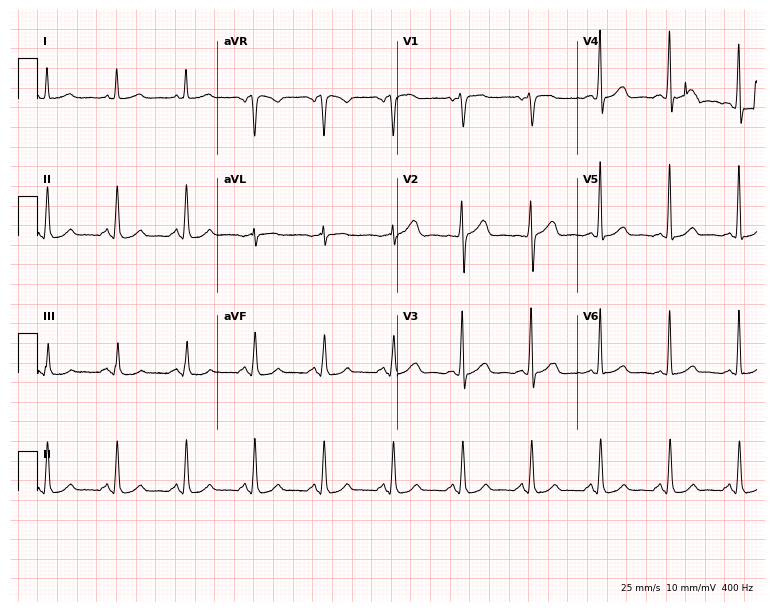
Electrocardiogram (7.3-second recording at 400 Hz), a male, 71 years old. Overall reading on record: normal ECG.